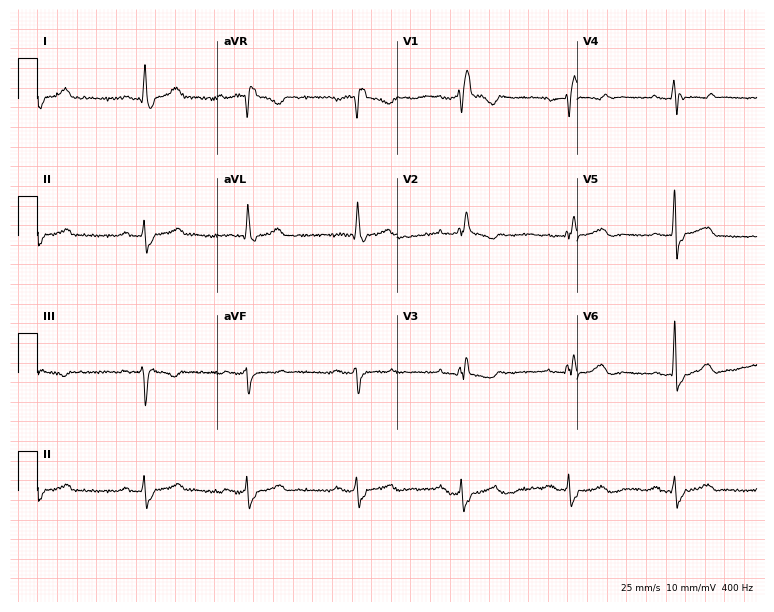
Standard 12-lead ECG recorded from a woman, 69 years old. The tracing shows right bundle branch block (RBBB).